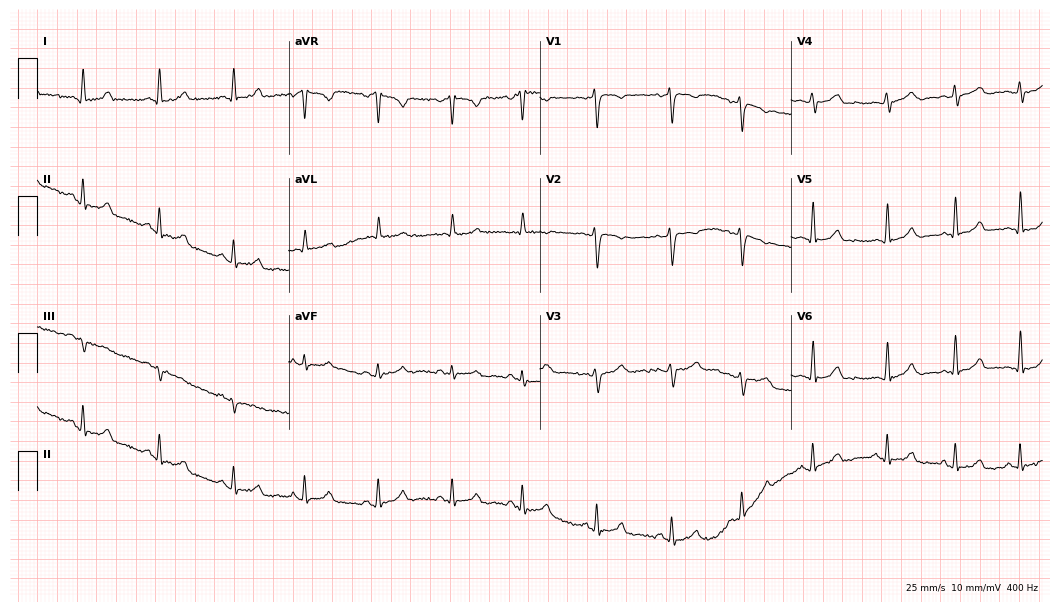
Electrocardiogram, a female, 44 years old. Overall reading on record: normal ECG.